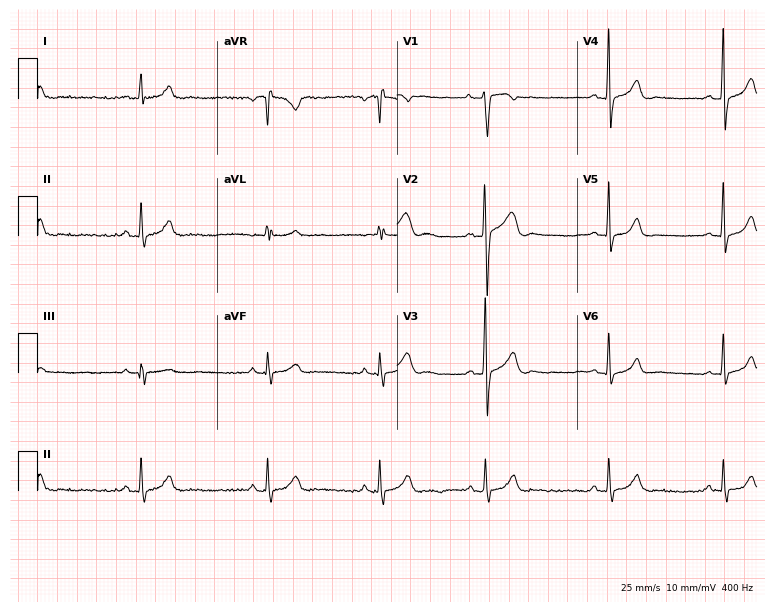
Resting 12-lead electrocardiogram (7.3-second recording at 400 Hz). Patient: a 17-year-old male. The tracing shows sinus bradycardia (a sinus rate of 50 beats per minute or less).